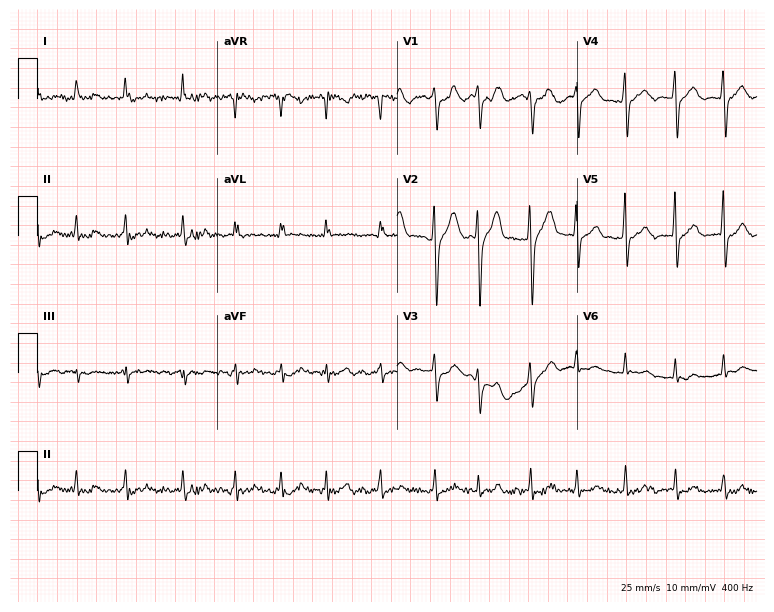
Electrocardiogram (7.3-second recording at 400 Hz), a 38-year-old man. Of the six screened findings (first-degree AV block, right bundle branch block, left bundle branch block, sinus bradycardia, atrial fibrillation, sinus tachycardia), none is recorded.